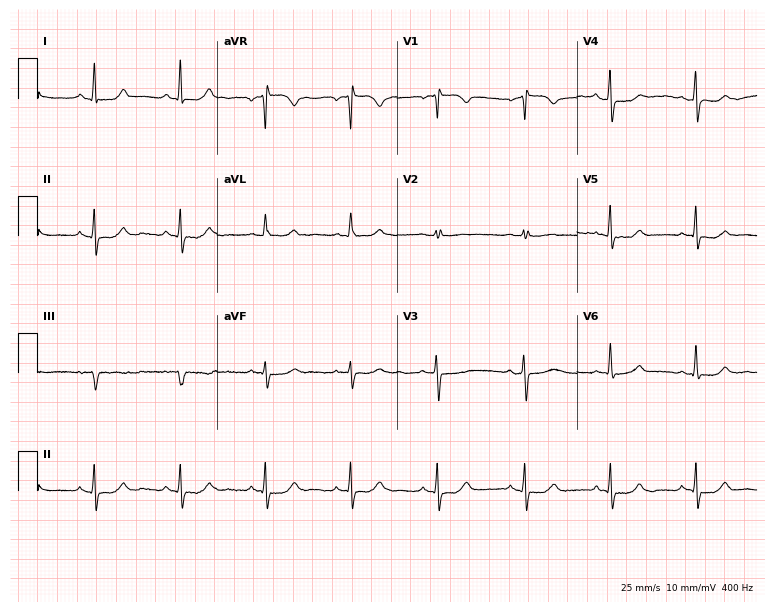
12-lead ECG from a 58-year-old woman (7.3-second recording at 400 Hz). Recorded interpretation: within normal limits.